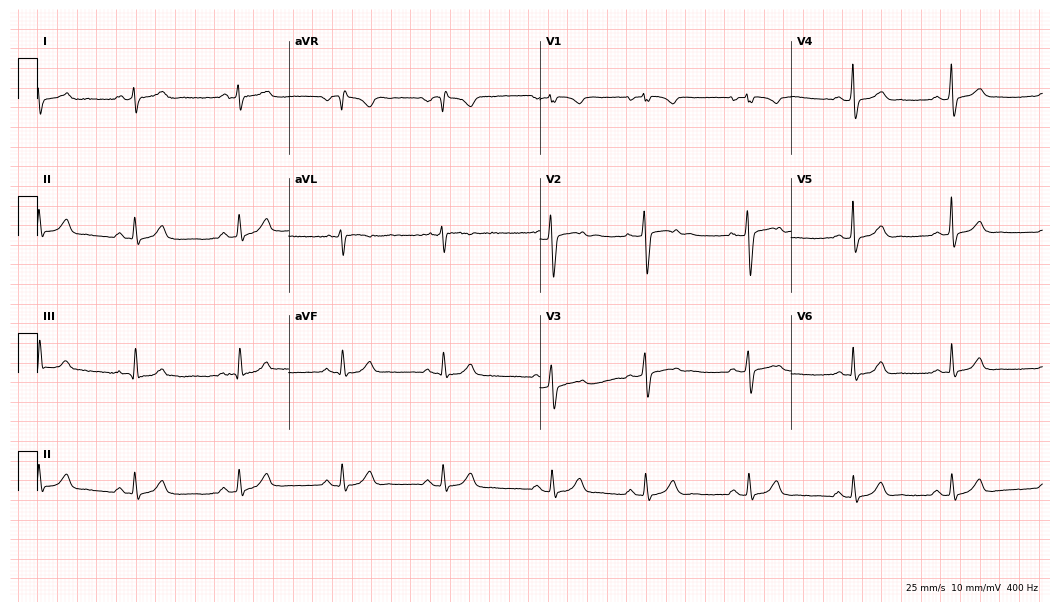
Resting 12-lead electrocardiogram. Patient: a female, 29 years old. None of these six findings is recorded: first-degree AV block, right bundle branch block, left bundle branch block, sinus bradycardia, atrial fibrillation, sinus tachycardia.